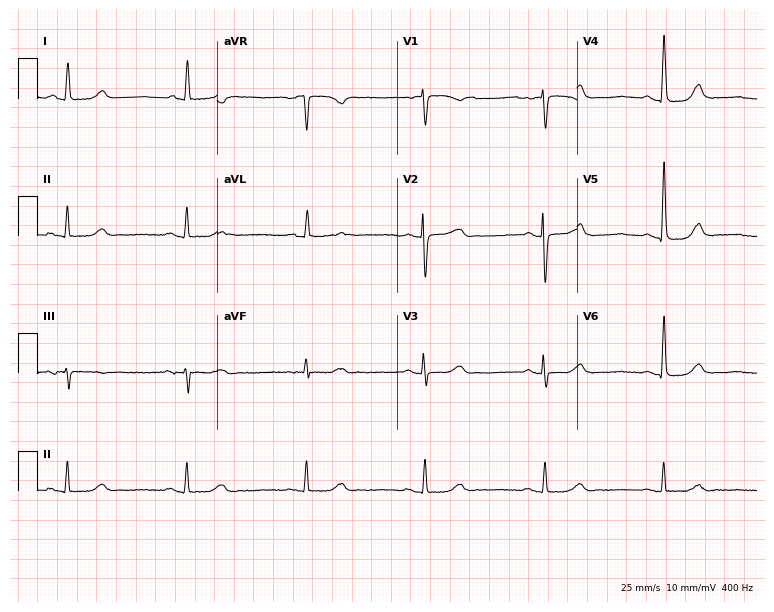
12-lead ECG from an 82-year-old woman. No first-degree AV block, right bundle branch block (RBBB), left bundle branch block (LBBB), sinus bradycardia, atrial fibrillation (AF) or sinus tachycardia recorded for this tracing.